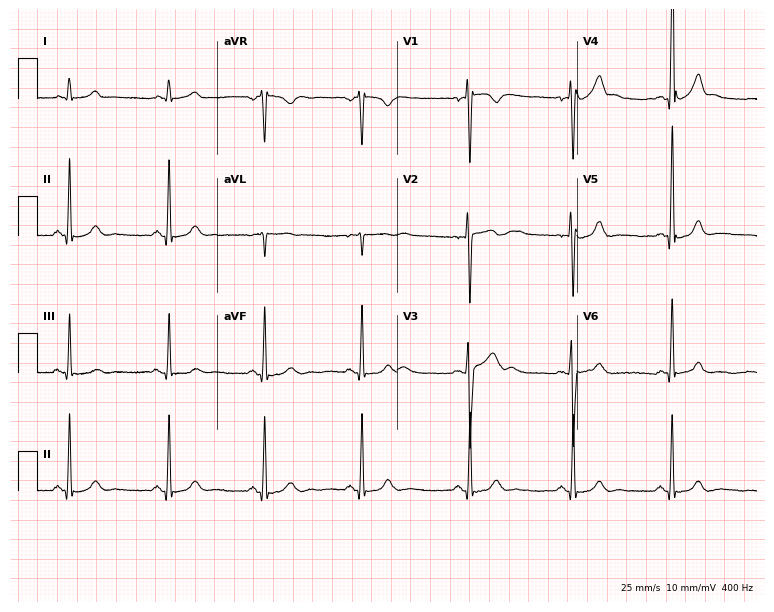
12-lead ECG (7.3-second recording at 400 Hz) from a 34-year-old male. Labelled as a normal ECG.